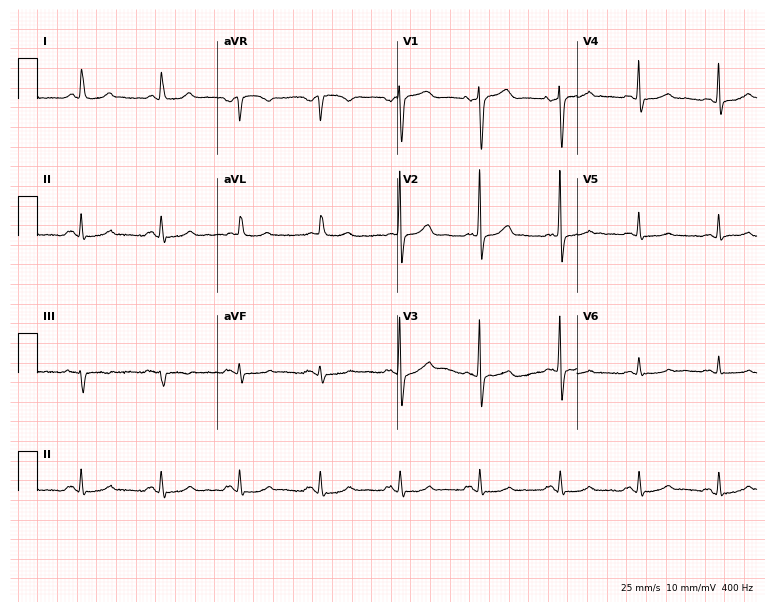
Resting 12-lead electrocardiogram. Patient: a 70-year-old female. Read as a normal ECG.